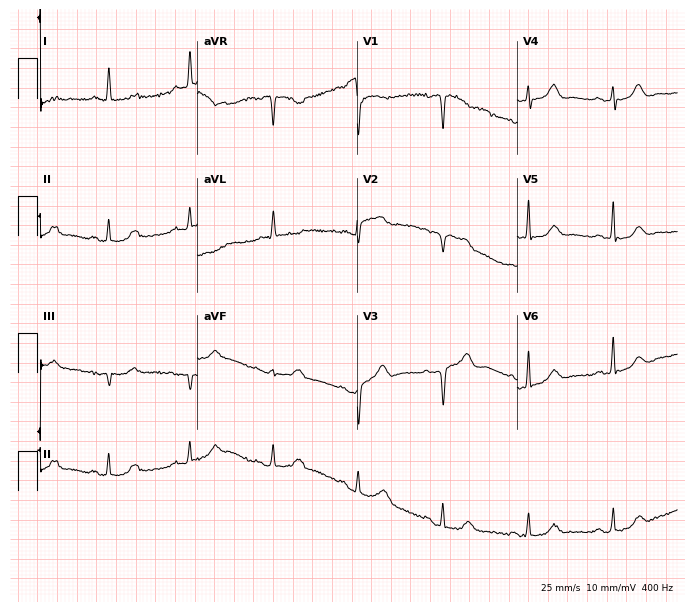
Standard 12-lead ECG recorded from a woman, 85 years old. Read as a normal ECG.